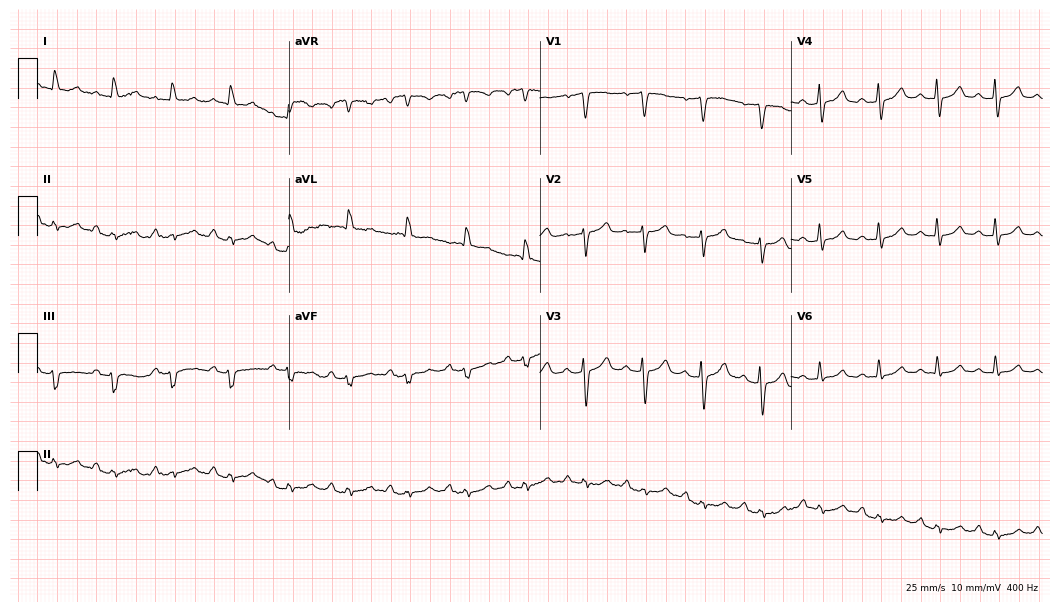
ECG — a woman, 78 years old. Screened for six findings — first-degree AV block, right bundle branch block (RBBB), left bundle branch block (LBBB), sinus bradycardia, atrial fibrillation (AF), sinus tachycardia — none is recorded. Only these six findings were labelled.